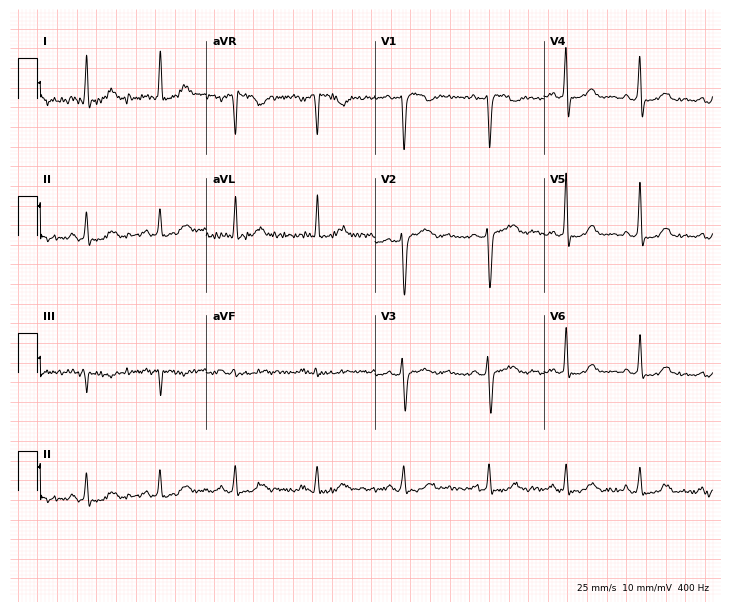
12-lead ECG from a female, 53 years old. No first-degree AV block, right bundle branch block, left bundle branch block, sinus bradycardia, atrial fibrillation or sinus tachycardia recorded for this tracing. Only these six findings were labelled.